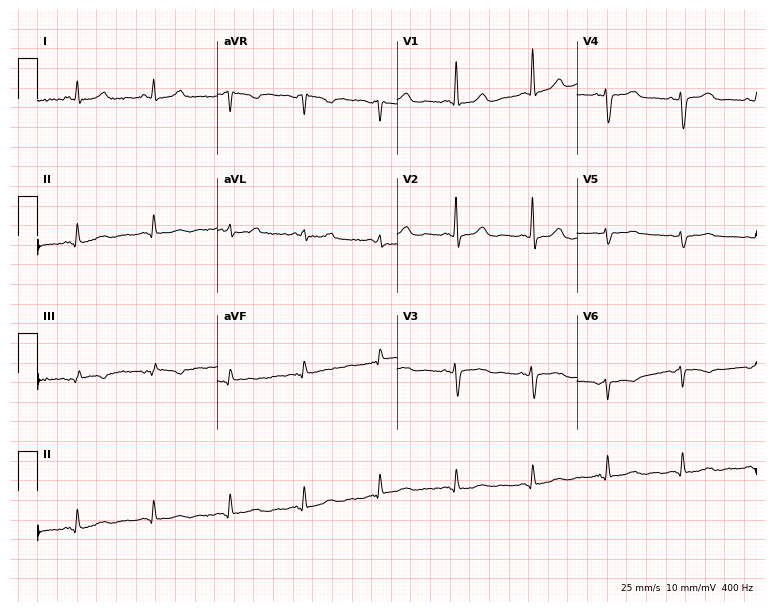
12-lead ECG from an 84-year-old female. No first-degree AV block, right bundle branch block (RBBB), left bundle branch block (LBBB), sinus bradycardia, atrial fibrillation (AF) or sinus tachycardia recorded for this tracing. Findings outside these six are not listed.